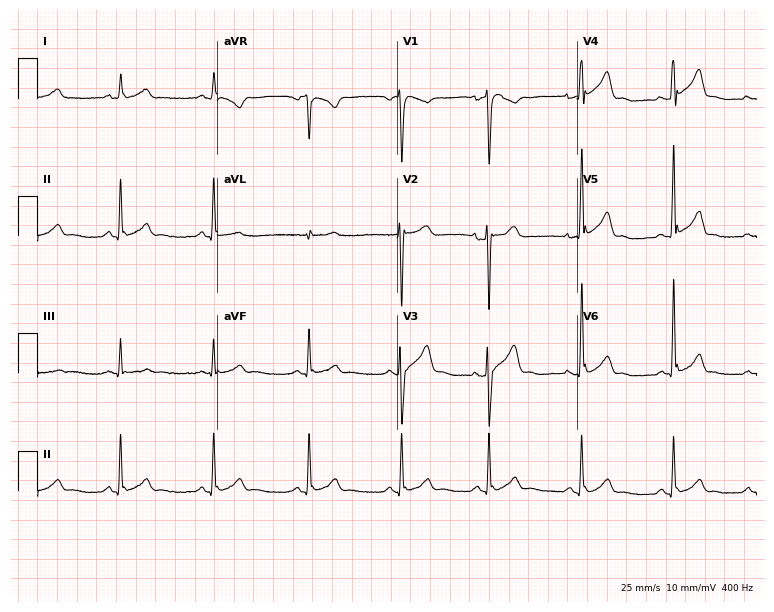
12-lead ECG from a 45-year-old man. No first-degree AV block, right bundle branch block (RBBB), left bundle branch block (LBBB), sinus bradycardia, atrial fibrillation (AF) or sinus tachycardia recorded for this tracing. Findings outside these six are not listed.